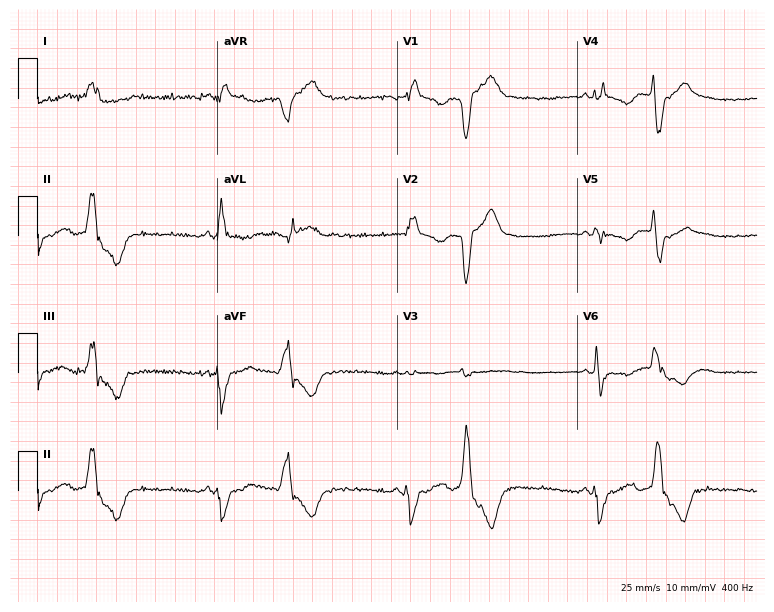
Electrocardiogram, a female, 56 years old. Interpretation includes right bundle branch block, left bundle branch block.